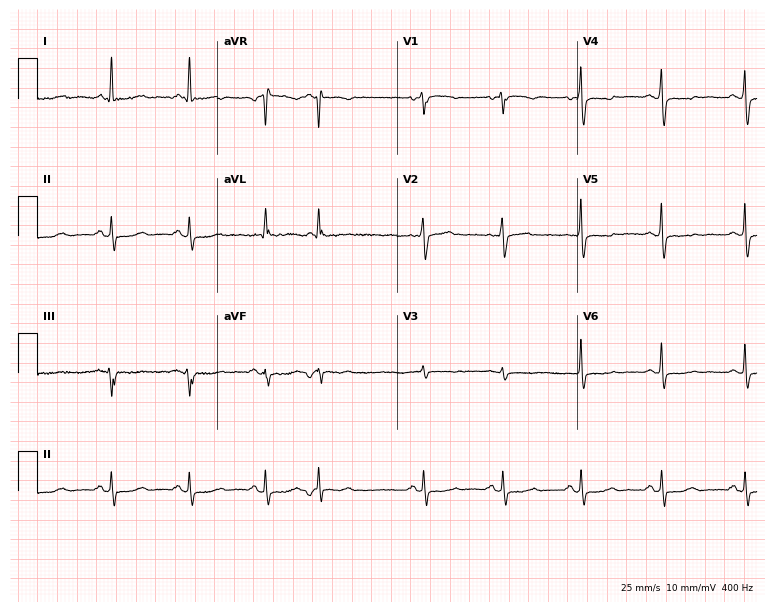
12-lead ECG from a female patient, 56 years old. Screened for six findings — first-degree AV block, right bundle branch block (RBBB), left bundle branch block (LBBB), sinus bradycardia, atrial fibrillation (AF), sinus tachycardia — none is recorded.